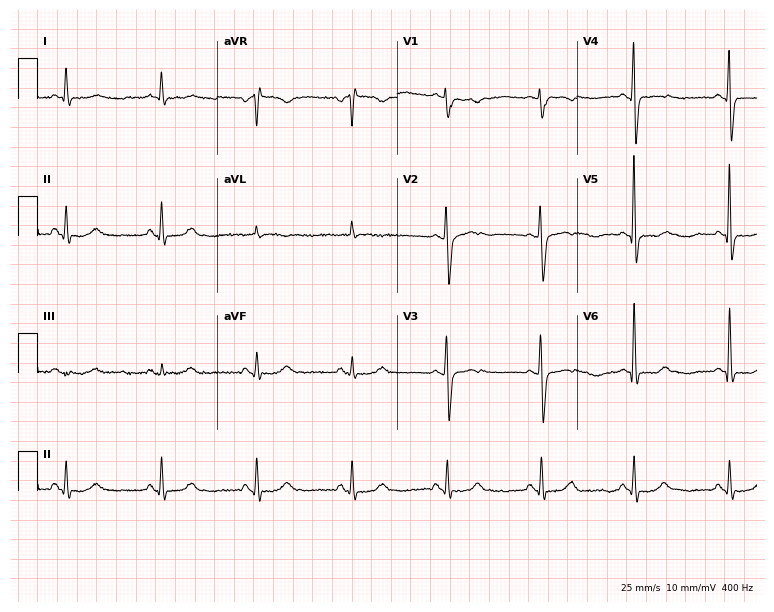
Standard 12-lead ECG recorded from a 70-year-old female patient (7.3-second recording at 400 Hz). None of these six findings is recorded: first-degree AV block, right bundle branch block, left bundle branch block, sinus bradycardia, atrial fibrillation, sinus tachycardia.